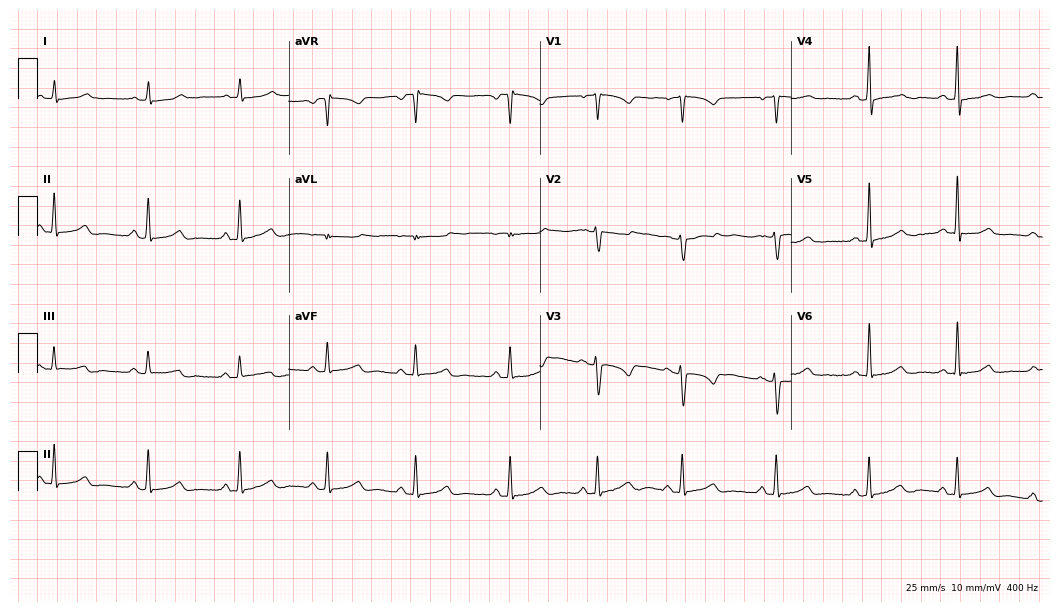
12-lead ECG from a 33-year-old female (10.2-second recording at 400 Hz). No first-degree AV block, right bundle branch block, left bundle branch block, sinus bradycardia, atrial fibrillation or sinus tachycardia recorded for this tracing. Findings outside these six are not listed.